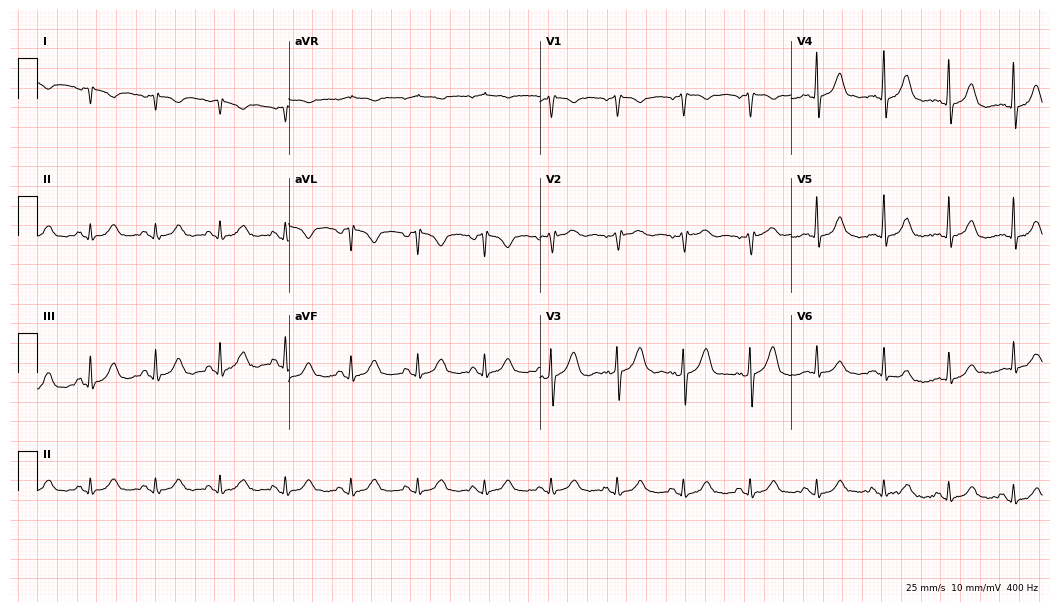
12-lead ECG from a male patient, 58 years old. No first-degree AV block, right bundle branch block (RBBB), left bundle branch block (LBBB), sinus bradycardia, atrial fibrillation (AF) or sinus tachycardia recorded for this tracing.